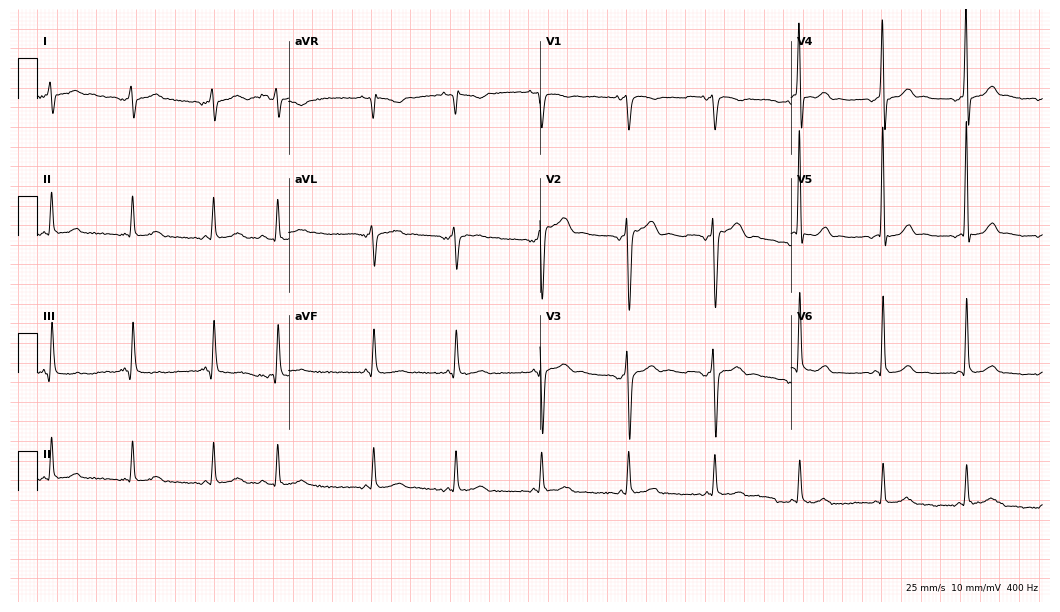
Resting 12-lead electrocardiogram (10.2-second recording at 400 Hz). Patient: a man, 80 years old. None of these six findings is recorded: first-degree AV block, right bundle branch block (RBBB), left bundle branch block (LBBB), sinus bradycardia, atrial fibrillation (AF), sinus tachycardia. Only these six findings were labelled.